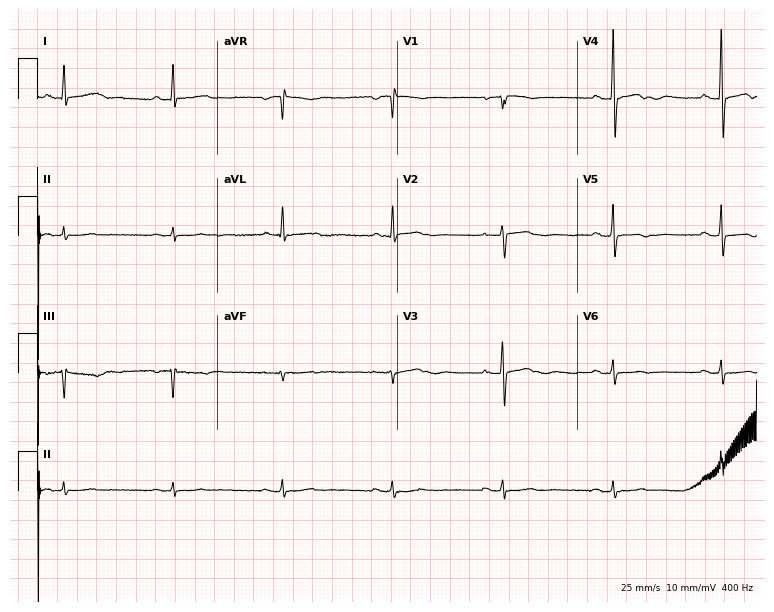
12-lead ECG from a 67-year-old female. No first-degree AV block, right bundle branch block (RBBB), left bundle branch block (LBBB), sinus bradycardia, atrial fibrillation (AF) or sinus tachycardia recorded for this tracing. Only these six findings were labelled.